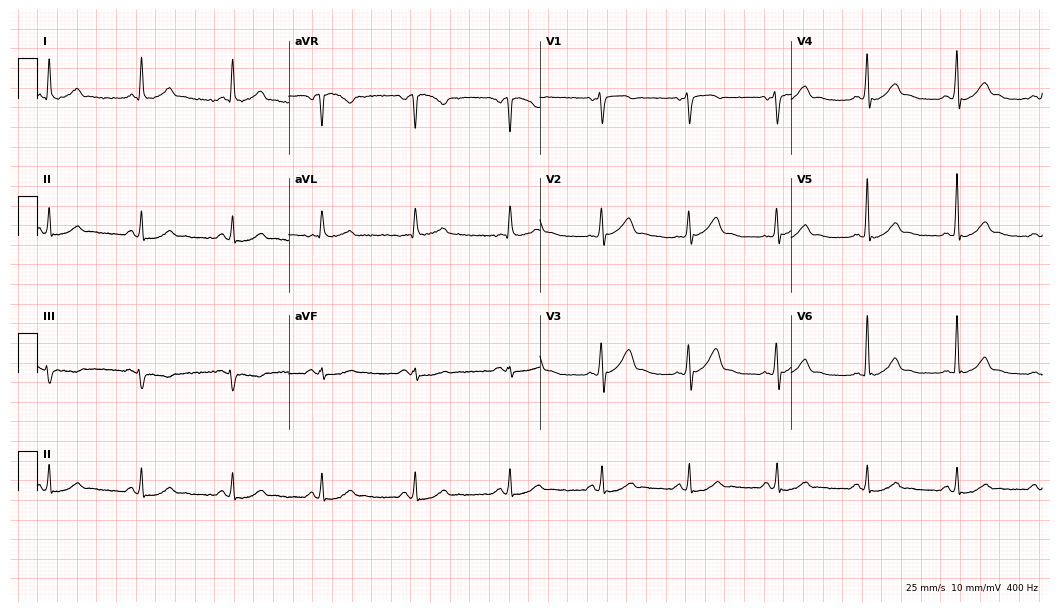
ECG (10.2-second recording at 400 Hz) — a male, 59 years old. Screened for six findings — first-degree AV block, right bundle branch block, left bundle branch block, sinus bradycardia, atrial fibrillation, sinus tachycardia — none is recorded. Other findings, if any, are not listed.